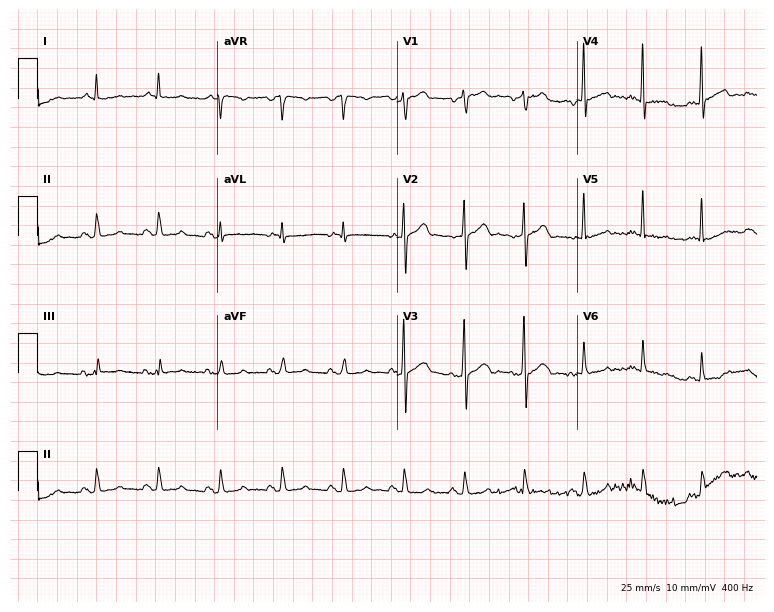
Resting 12-lead electrocardiogram. Patient: a man, 51 years old. Read as a normal ECG.